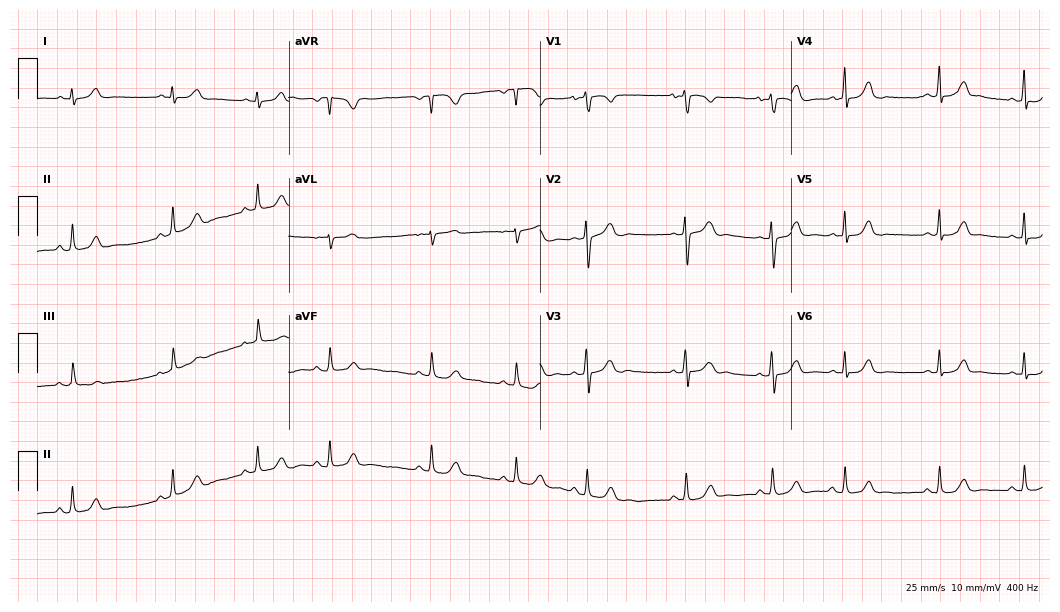
12-lead ECG from a female, 21 years old. Labelled as a normal ECG.